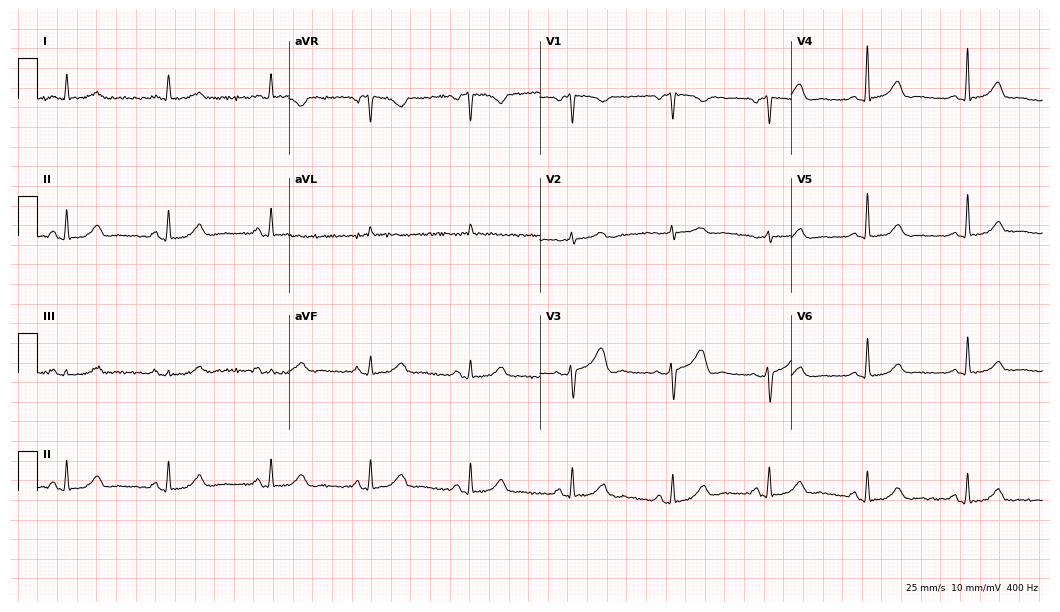
Electrocardiogram (10.2-second recording at 400 Hz), a 64-year-old female patient. Overall reading on record: normal ECG.